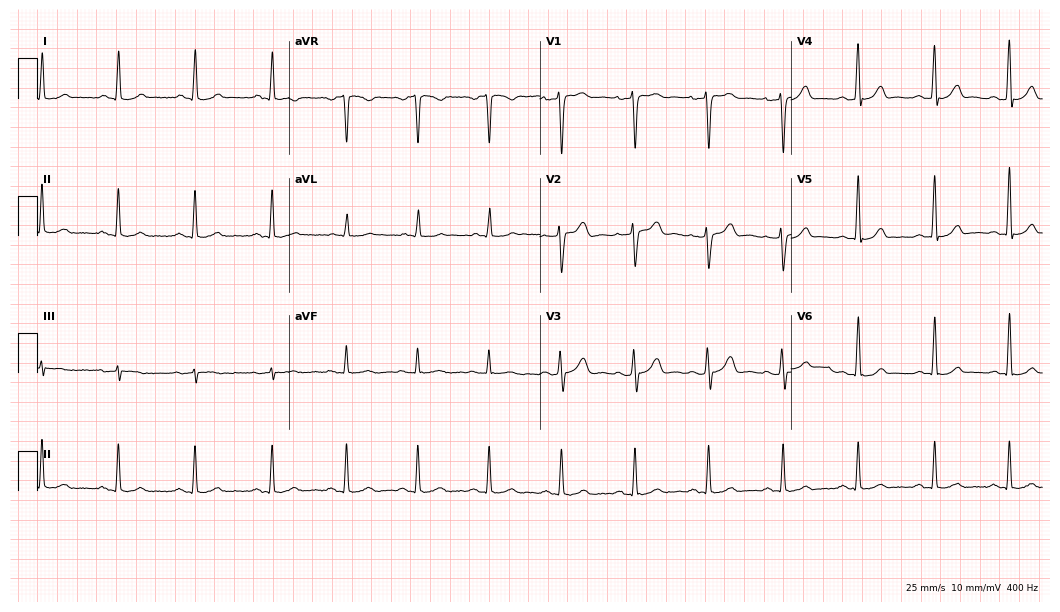
ECG — a woman, 34 years old. Labelled as a normal ECG.